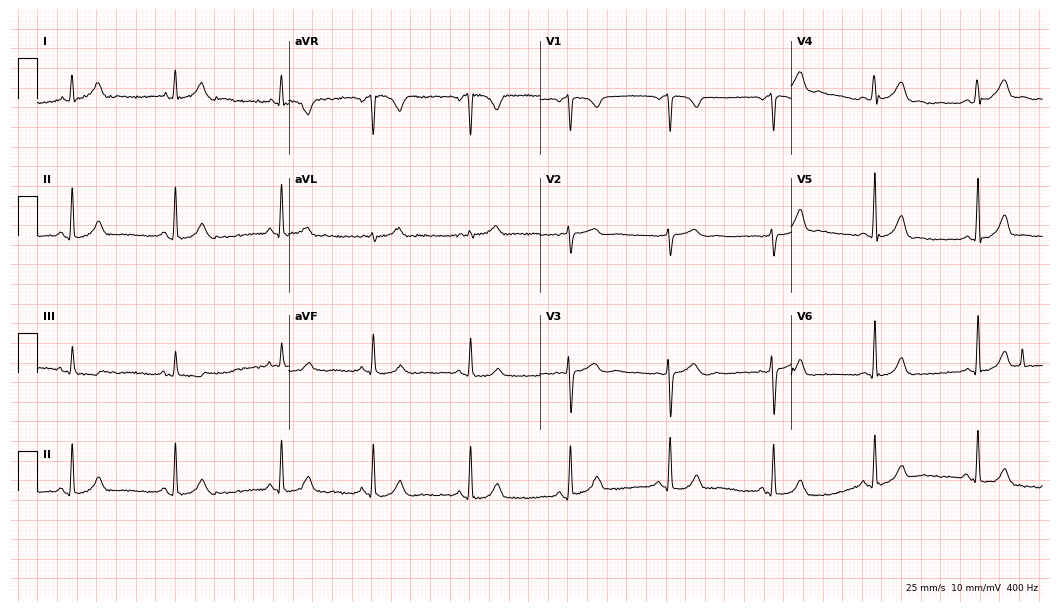
12-lead ECG (10.2-second recording at 400 Hz) from a female, 20 years old. Screened for six findings — first-degree AV block, right bundle branch block, left bundle branch block, sinus bradycardia, atrial fibrillation, sinus tachycardia — none is recorded. Findings outside these six are not listed.